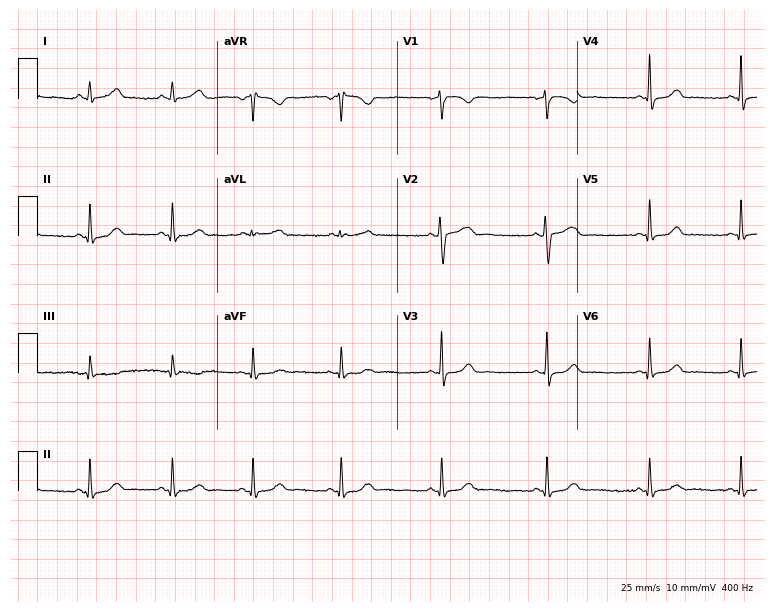
Electrocardiogram, a 35-year-old woman. Overall reading on record: normal ECG.